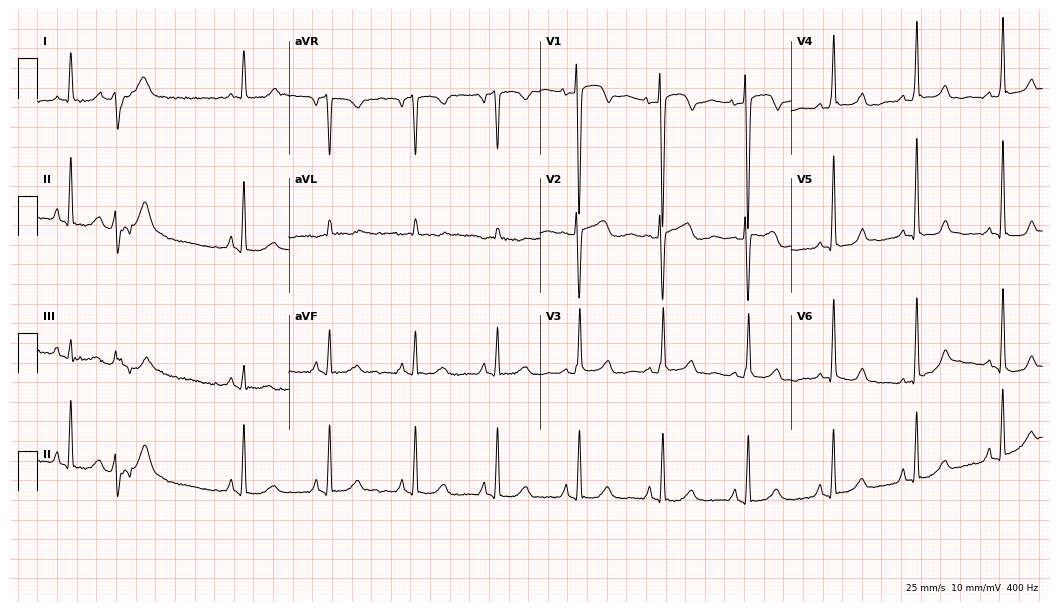
Standard 12-lead ECG recorded from a 74-year-old woman. None of these six findings is recorded: first-degree AV block, right bundle branch block, left bundle branch block, sinus bradycardia, atrial fibrillation, sinus tachycardia.